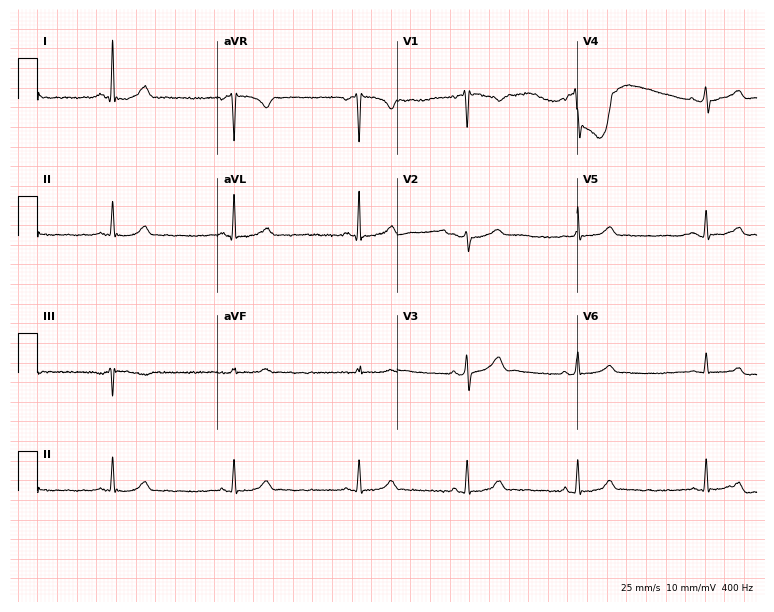
Standard 12-lead ECG recorded from a 31-year-old female patient (7.3-second recording at 400 Hz). Read as a normal ECG.